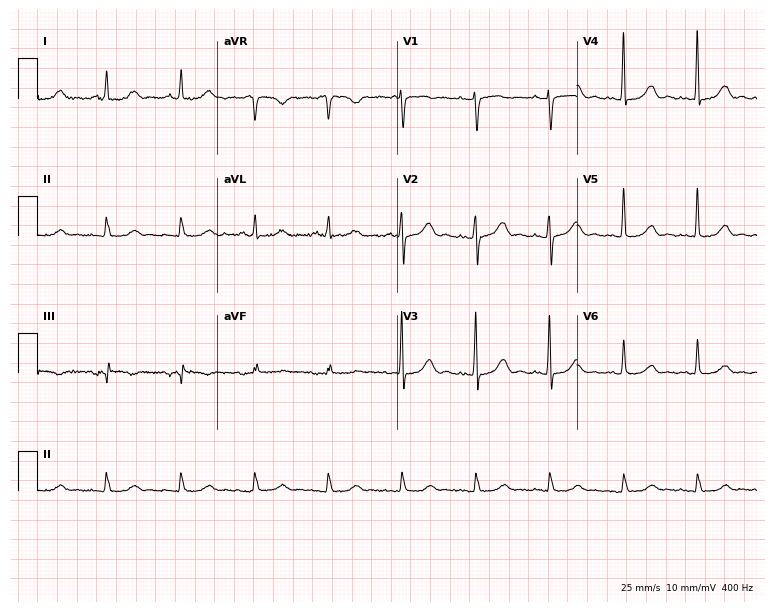
Electrocardiogram, a female, 71 years old. Overall reading on record: normal ECG.